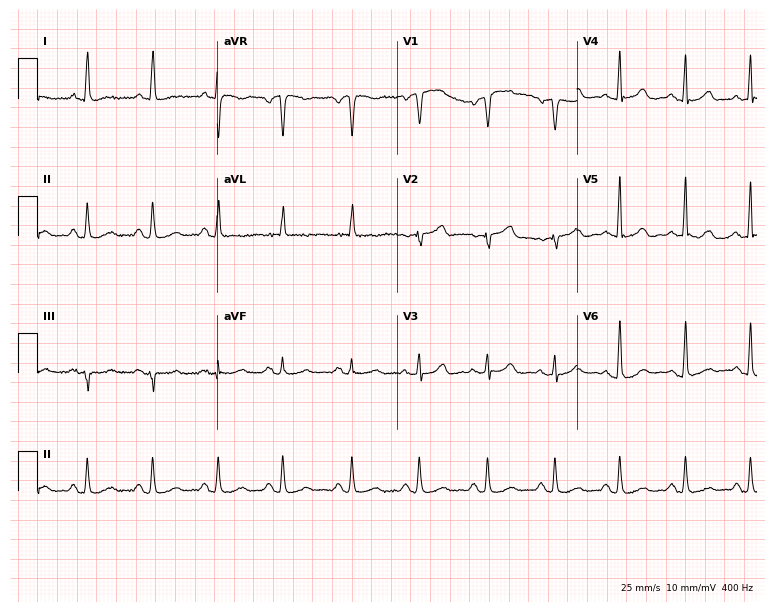
Electrocardiogram (7.3-second recording at 400 Hz), a woman, 67 years old. Of the six screened findings (first-degree AV block, right bundle branch block, left bundle branch block, sinus bradycardia, atrial fibrillation, sinus tachycardia), none is recorded. Findings outside these six are not listed.